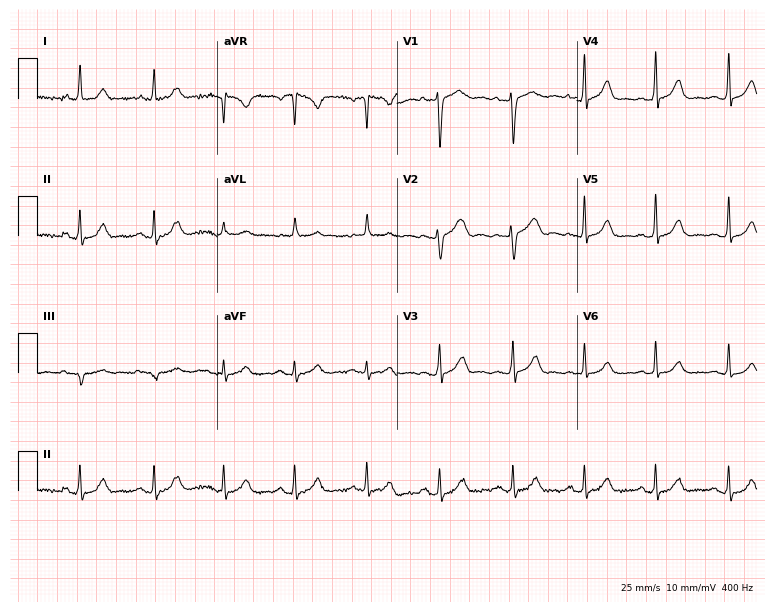
Standard 12-lead ECG recorded from a 29-year-old female. None of these six findings is recorded: first-degree AV block, right bundle branch block, left bundle branch block, sinus bradycardia, atrial fibrillation, sinus tachycardia. Findings outside these six are not listed.